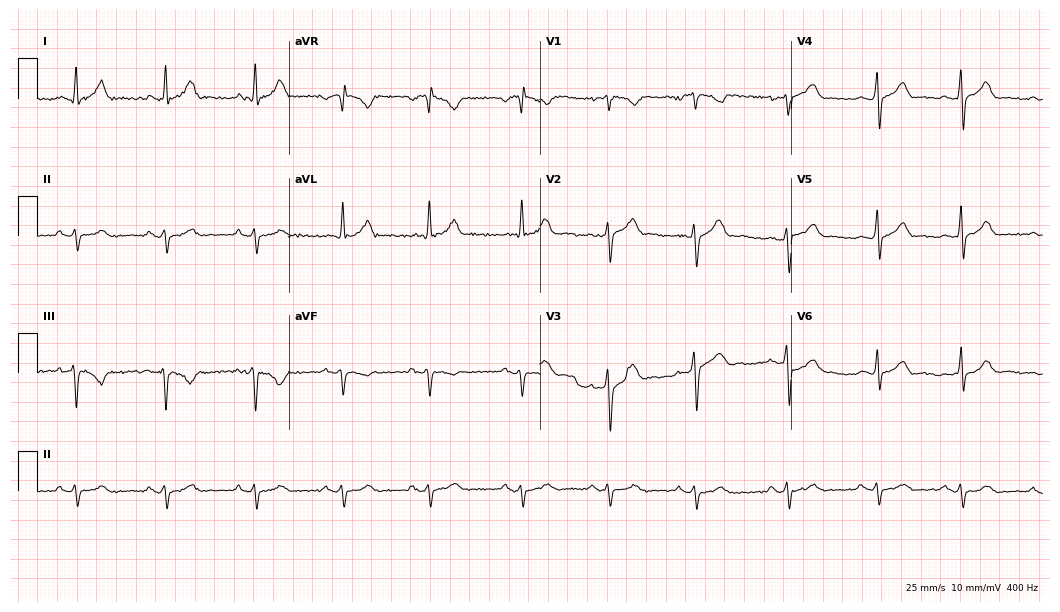
ECG (10.2-second recording at 400 Hz) — a male patient, 29 years old. Screened for six findings — first-degree AV block, right bundle branch block, left bundle branch block, sinus bradycardia, atrial fibrillation, sinus tachycardia — none is recorded.